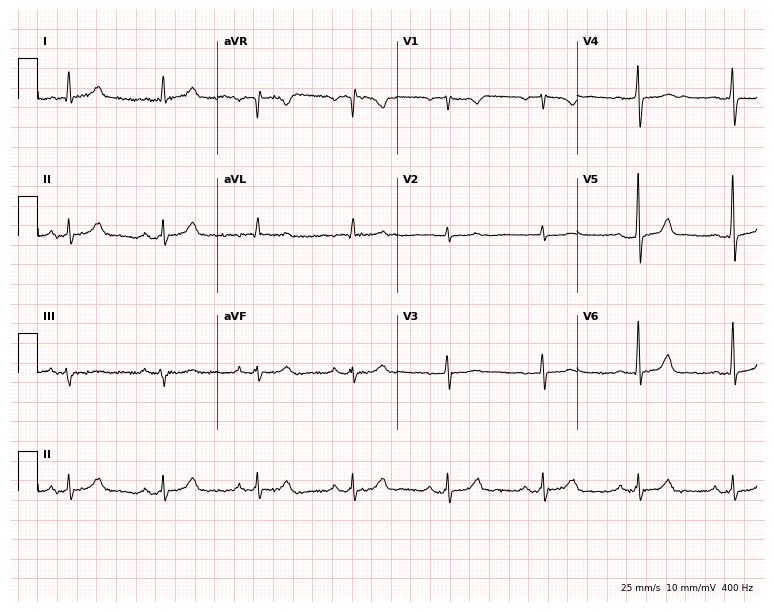
ECG (7.3-second recording at 400 Hz) — a man, 55 years old. Screened for six findings — first-degree AV block, right bundle branch block (RBBB), left bundle branch block (LBBB), sinus bradycardia, atrial fibrillation (AF), sinus tachycardia — none is recorded.